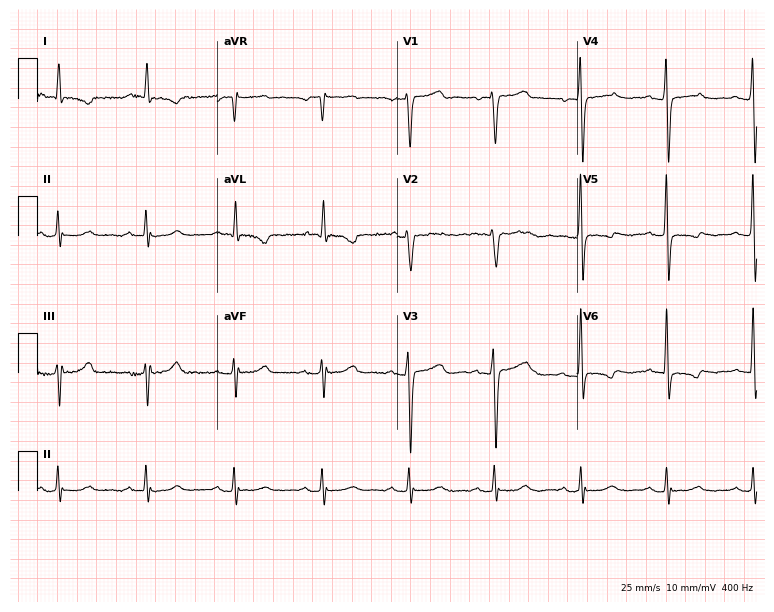
Electrocardiogram (7.3-second recording at 400 Hz), a 62-year-old female. Of the six screened findings (first-degree AV block, right bundle branch block, left bundle branch block, sinus bradycardia, atrial fibrillation, sinus tachycardia), none is recorded. Other findings, if any, are not listed.